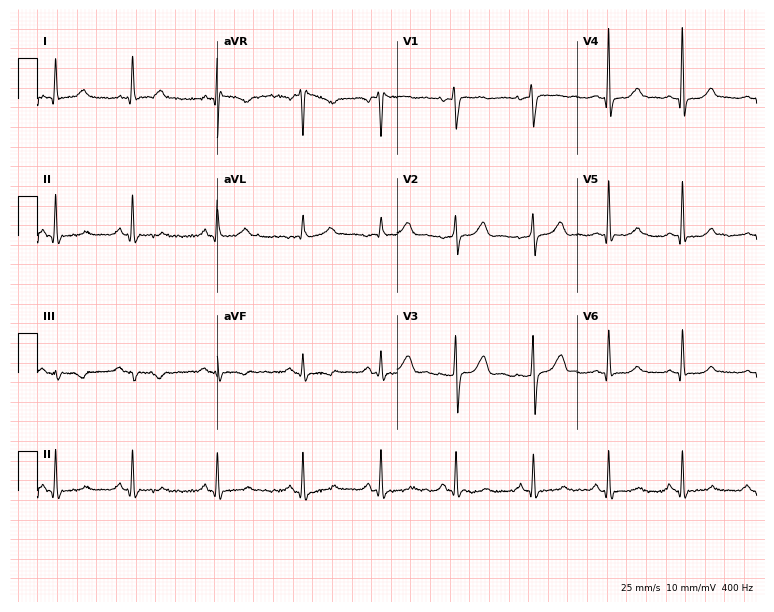
Electrocardiogram, a 39-year-old female. Overall reading on record: normal ECG.